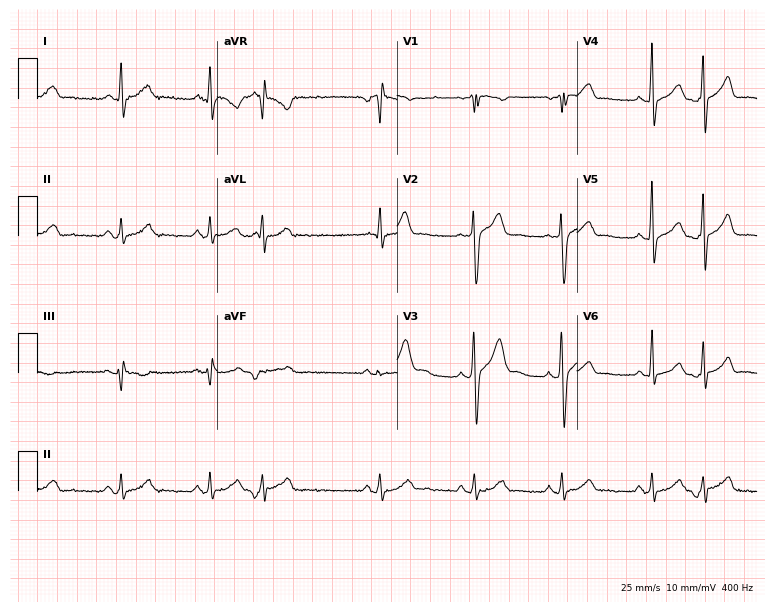
12-lead ECG (7.3-second recording at 400 Hz) from a male patient, 42 years old. Screened for six findings — first-degree AV block, right bundle branch block (RBBB), left bundle branch block (LBBB), sinus bradycardia, atrial fibrillation (AF), sinus tachycardia — none is recorded.